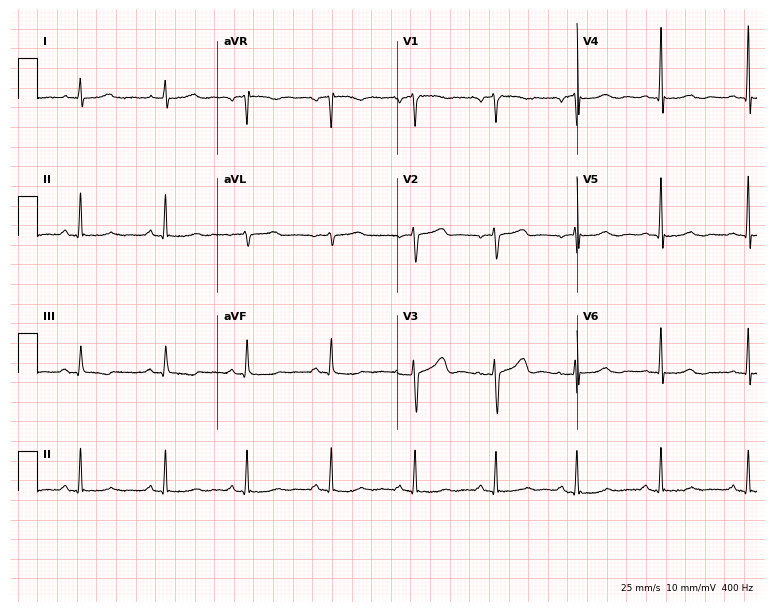
Resting 12-lead electrocardiogram (7.3-second recording at 400 Hz). Patient: a woman, 61 years old. None of these six findings is recorded: first-degree AV block, right bundle branch block, left bundle branch block, sinus bradycardia, atrial fibrillation, sinus tachycardia.